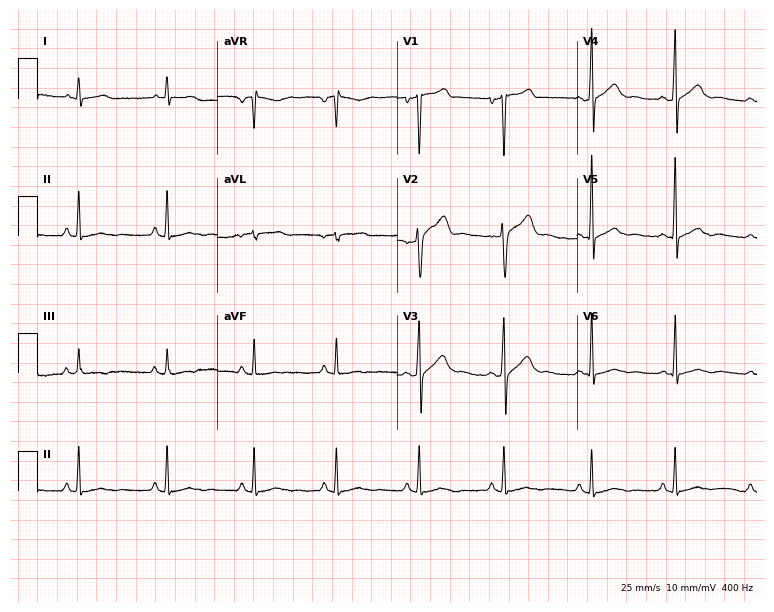
12-lead ECG (7.3-second recording at 400 Hz) from a male, 23 years old. Labelled as a normal ECG.